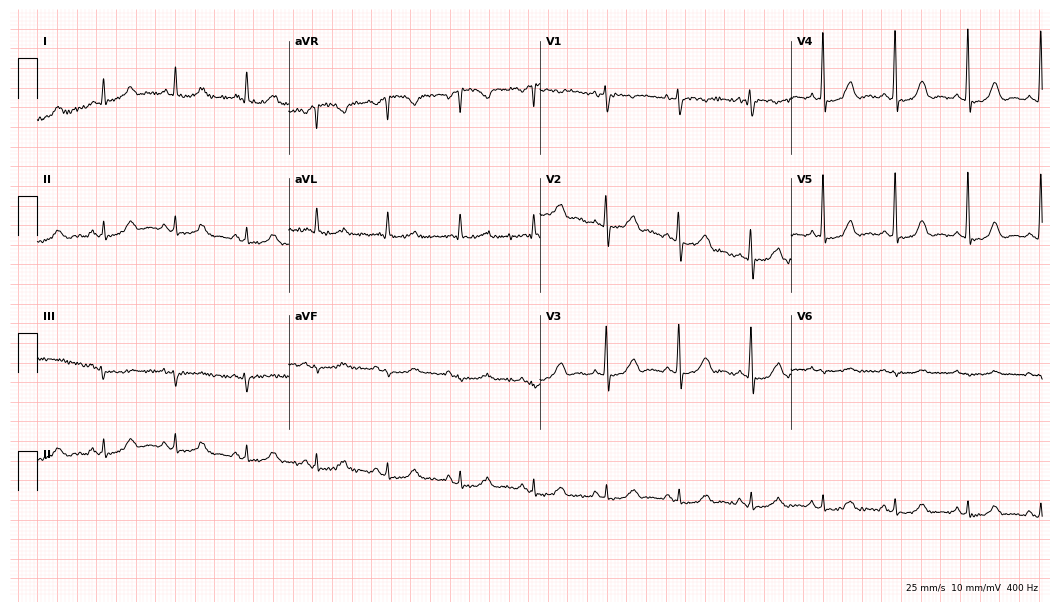
12-lead ECG from a female patient, 60 years old (10.2-second recording at 400 Hz). Recorded interpretation: within normal limits.